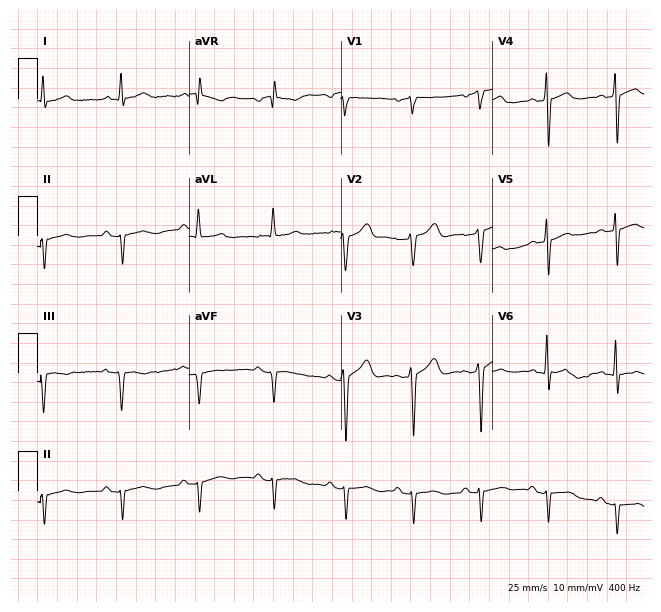
12-lead ECG from a man, 42 years old. No first-degree AV block, right bundle branch block (RBBB), left bundle branch block (LBBB), sinus bradycardia, atrial fibrillation (AF) or sinus tachycardia recorded for this tracing. Only these six findings were labelled.